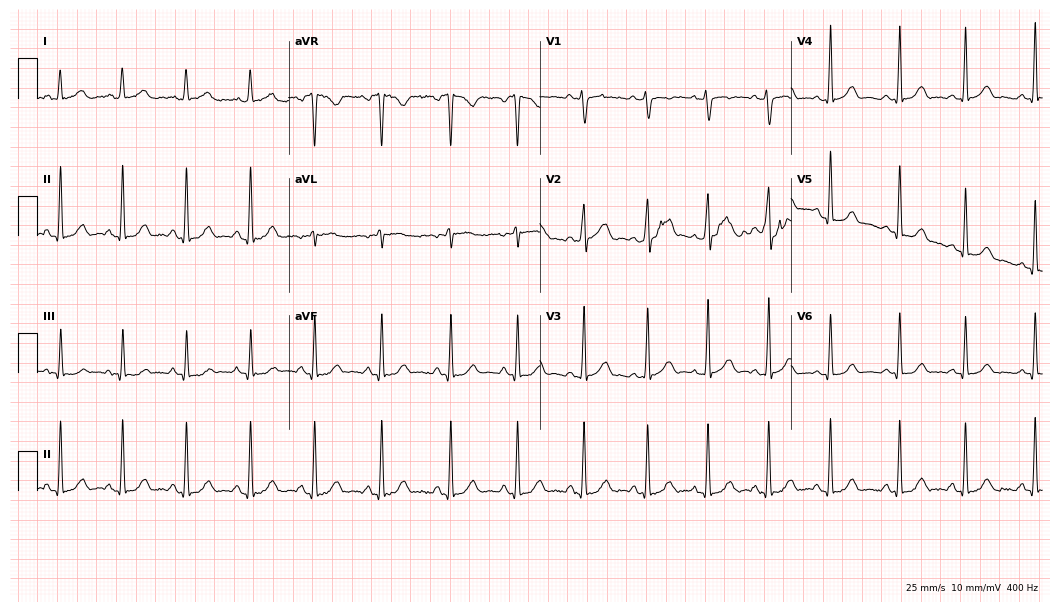
Standard 12-lead ECG recorded from a female, 28 years old. None of these six findings is recorded: first-degree AV block, right bundle branch block (RBBB), left bundle branch block (LBBB), sinus bradycardia, atrial fibrillation (AF), sinus tachycardia. Only these six findings were labelled.